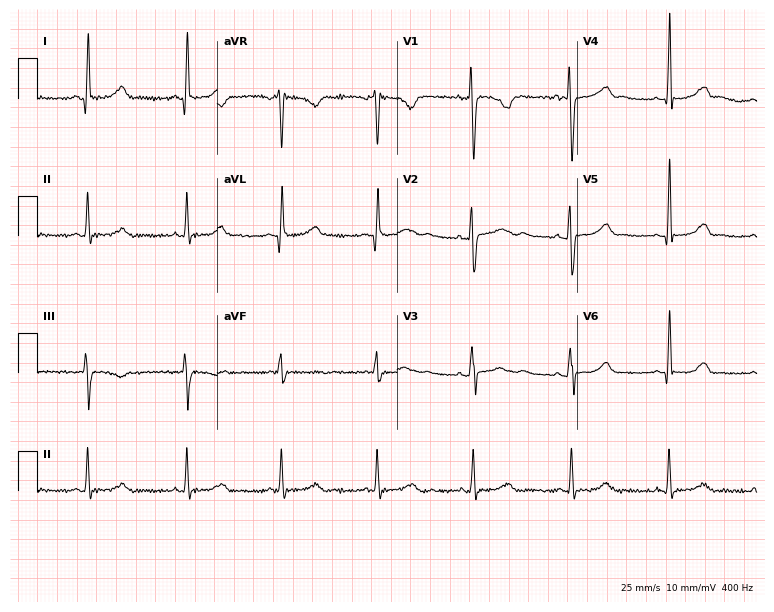
Electrocardiogram, a woman, 25 years old. Of the six screened findings (first-degree AV block, right bundle branch block, left bundle branch block, sinus bradycardia, atrial fibrillation, sinus tachycardia), none is recorded.